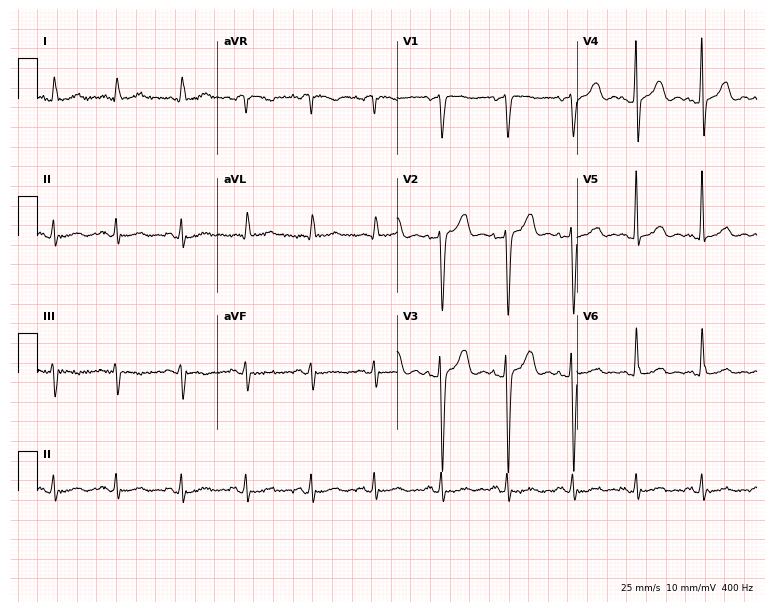
Electrocardiogram (7.3-second recording at 400 Hz), a 64-year-old male. Of the six screened findings (first-degree AV block, right bundle branch block, left bundle branch block, sinus bradycardia, atrial fibrillation, sinus tachycardia), none is recorded.